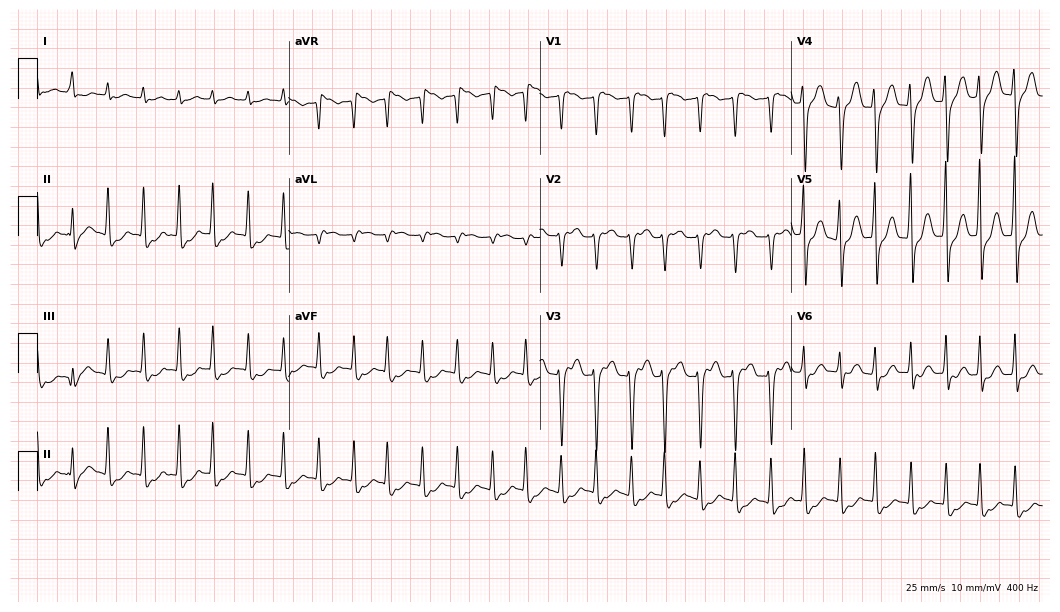
ECG — a 65-year-old male patient. Findings include sinus tachycardia (a sinus rate of 100 beats per minute or more).